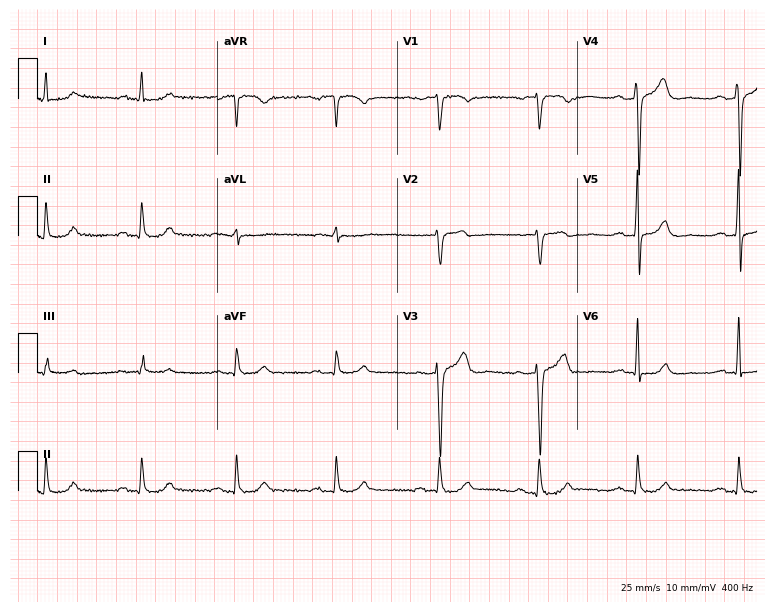
ECG (7.3-second recording at 400 Hz) — a man, 56 years old. Labelled as a normal ECG.